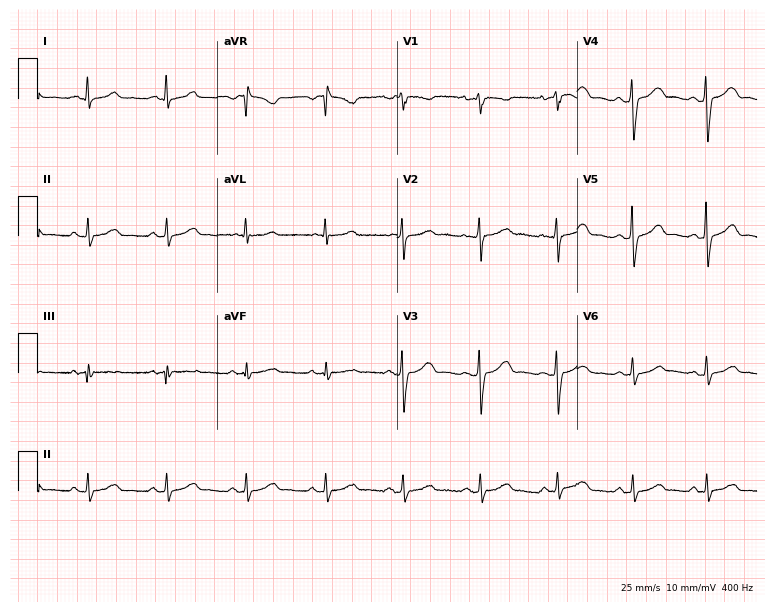
12-lead ECG from a 28-year-old female patient. Recorded interpretation: within normal limits.